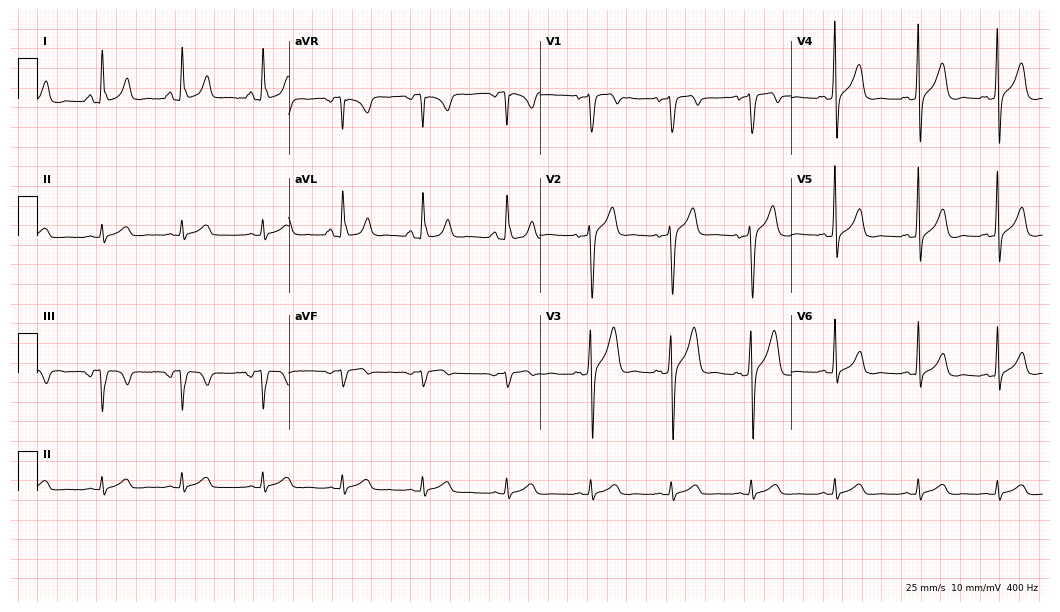
12-lead ECG (10.2-second recording at 400 Hz) from a 56-year-old man. Screened for six findings — first-degree AV block, right bundle branch block (RBBB), left bundle branch block (LBBB), sinus bradycardia, atrial fibrillation (AF), sinus tachycardia — none is recorded. Other findings, if any, are not listed.